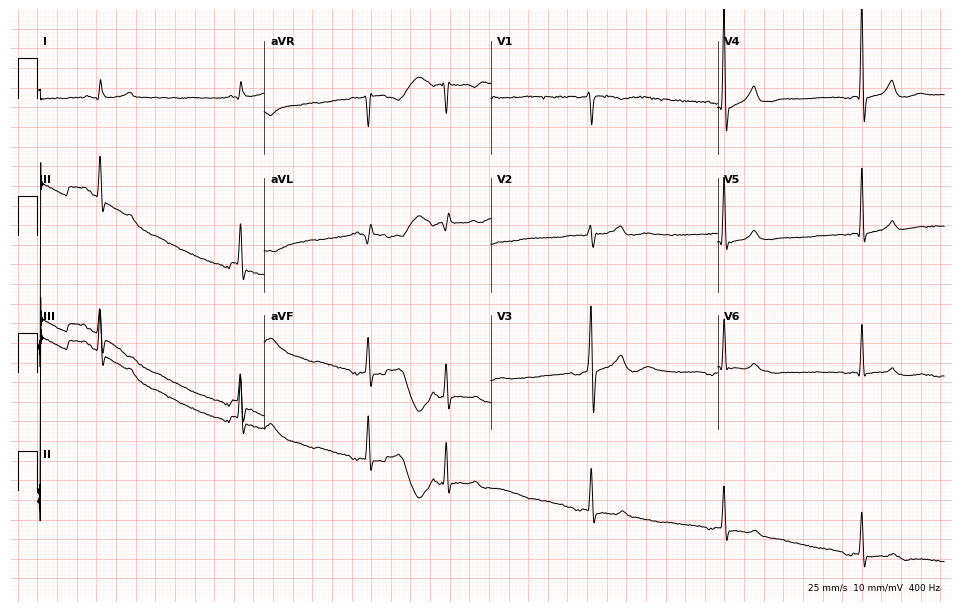
12-lead ECG from a male patient, 81 years old. Labelled as a normal ECG.